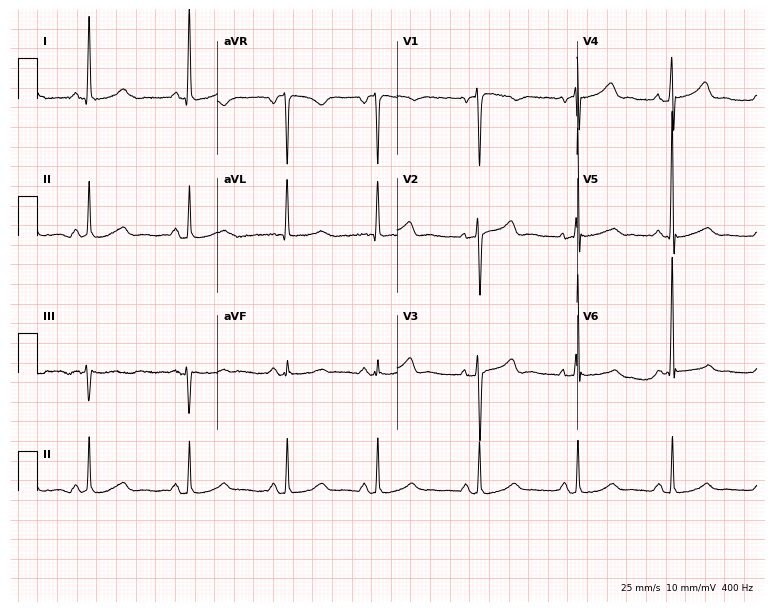
Standard 12-lead ECG recorded from a 48-year-old woman. Read as a normal ECG.